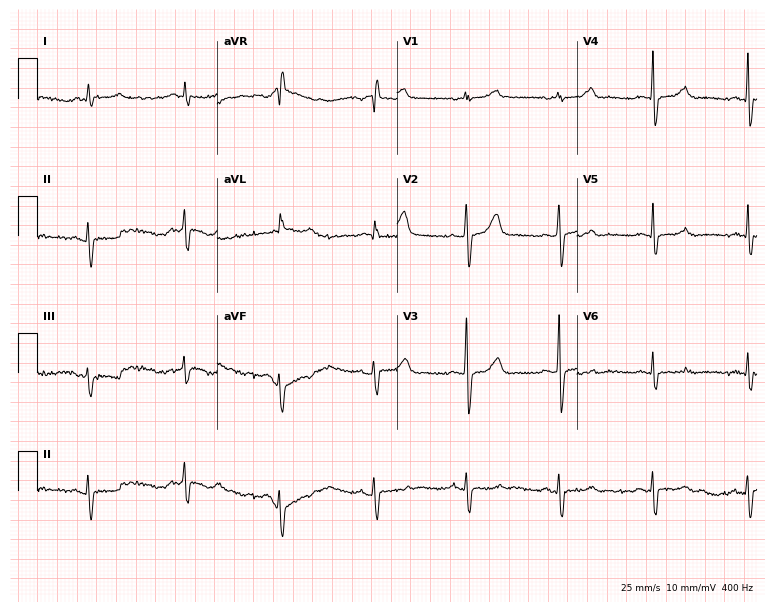
12-lead ECG from a male patient, 69 years old. No first-degree AV block, right bundle branch block, left bundle branch block, sinus bradycardia, atrial fibrillation or sinus tachycardia recorded for this tracing. Only these six findings were labelled.